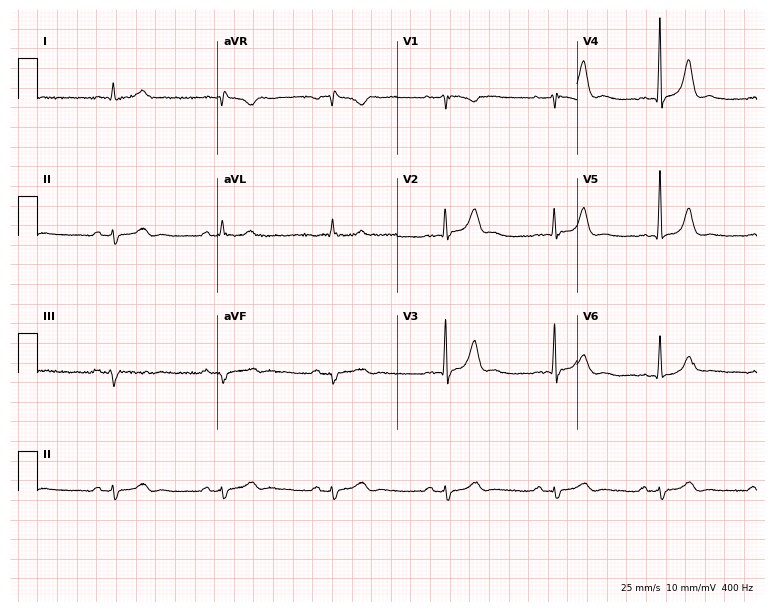
Resting 12-lead electrocardiogram (7.3-second recording at 400 Hz). Patient: a 51-year-old male. None of these six findings is recorded: first-degree AV block, right bundle branch block, left bundle branch block, sinus bradycardia, atrial fibrillation, sinus tachycardia.